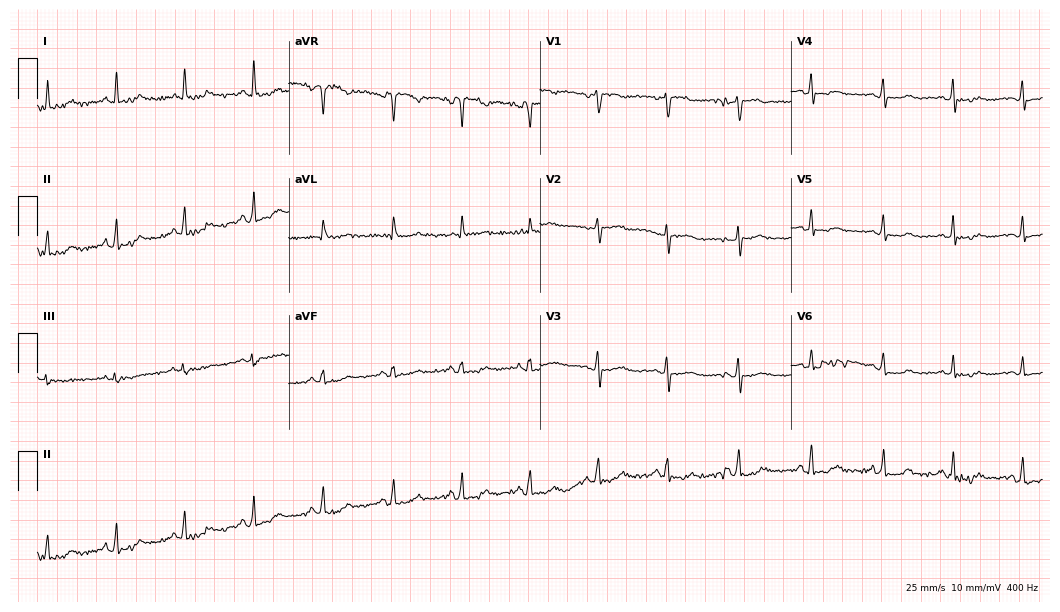
12-lead ECG from a woman, 49 years old. No first-degree AV block, right bundle branch block, left bundle branch block, sinus bradycardia, atrial fibrillation or sinus tachycardia recorded for this tracing.